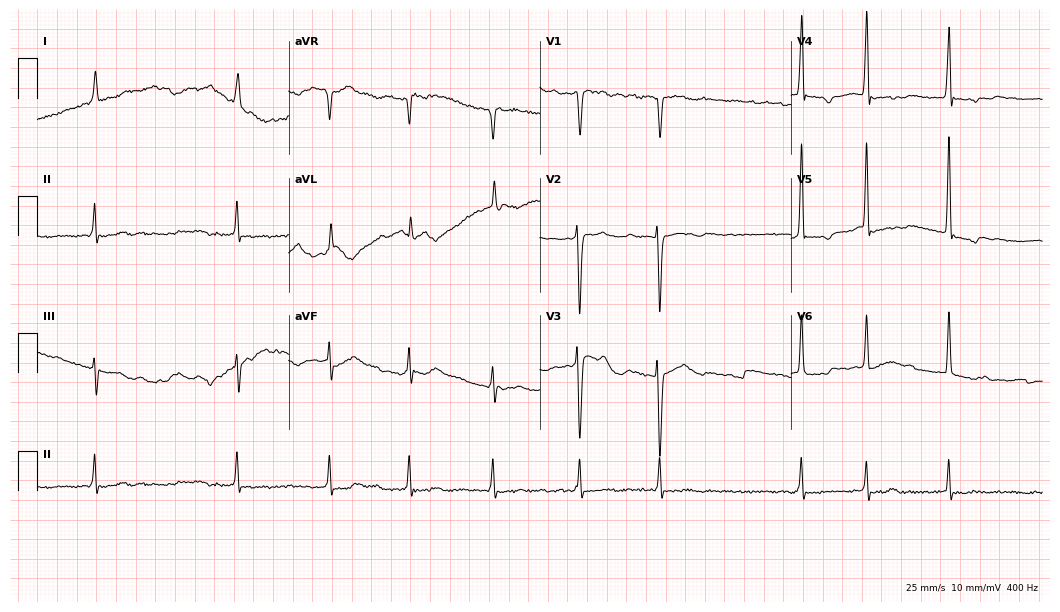
Standard 12-lead ECG recorded from an 81-year-old man. The tracing shows atrial fibrillation (AF).